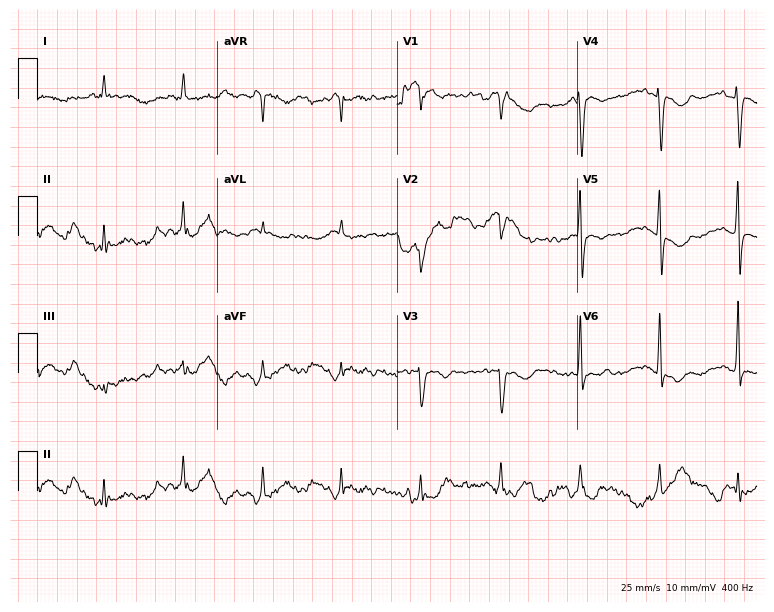
Resting 12-lead electrocardiogram. Patient: a female, 61 years old. None of these six findings is recorded: first-degree AV block, right bundle branch block (RBBB), left bundle branch block (LBBB), sinus bradycardia, atrial fibrillation (AF), sinus tachycardia.